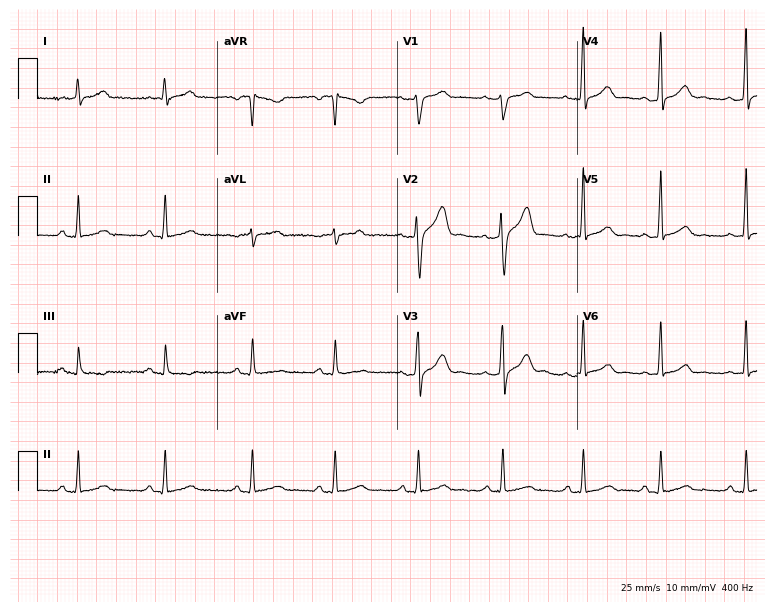
12-lead ECG from a 48-year-old man (7.3-second recording at 400 Hz). No first-degree AV block, right bundle branch block, left bundle branch block, sinus bradycardia, atrial fibrillation or sinus tachycardia recorded for this tracing. Only these six findings were labelled.